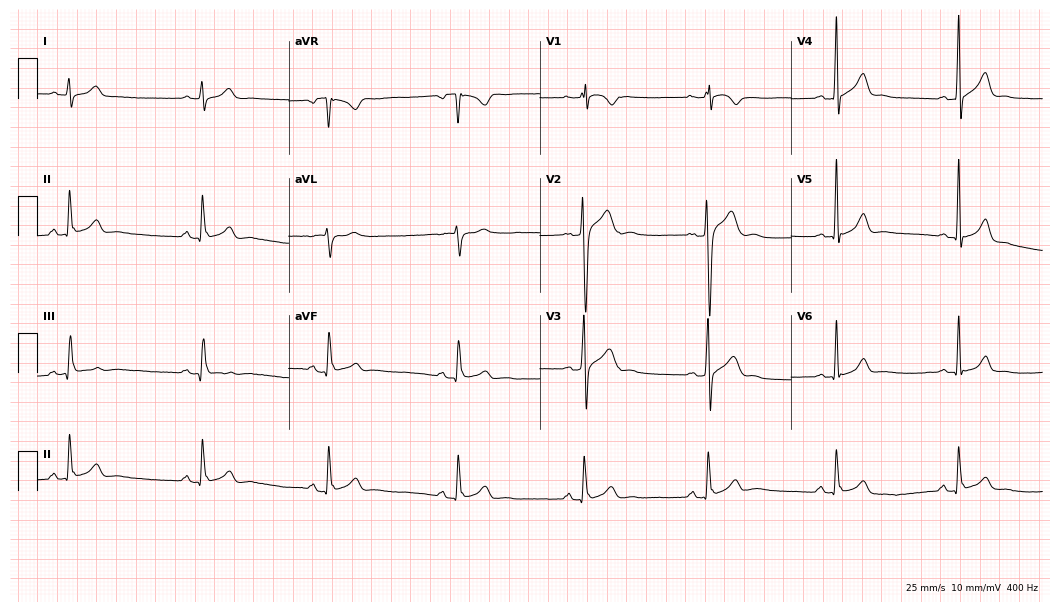
ECG (10.2-second recording at 400 Hz) — a 25-year-old male. Screened for six findings — first-degree AV block, right bundle branch block (RBBB), left bundle branch block (LBBB), sinus bradycardia, atrial fibrillation (AF), sinus tachycardia — none is recorded. Only these six findings were labelled.